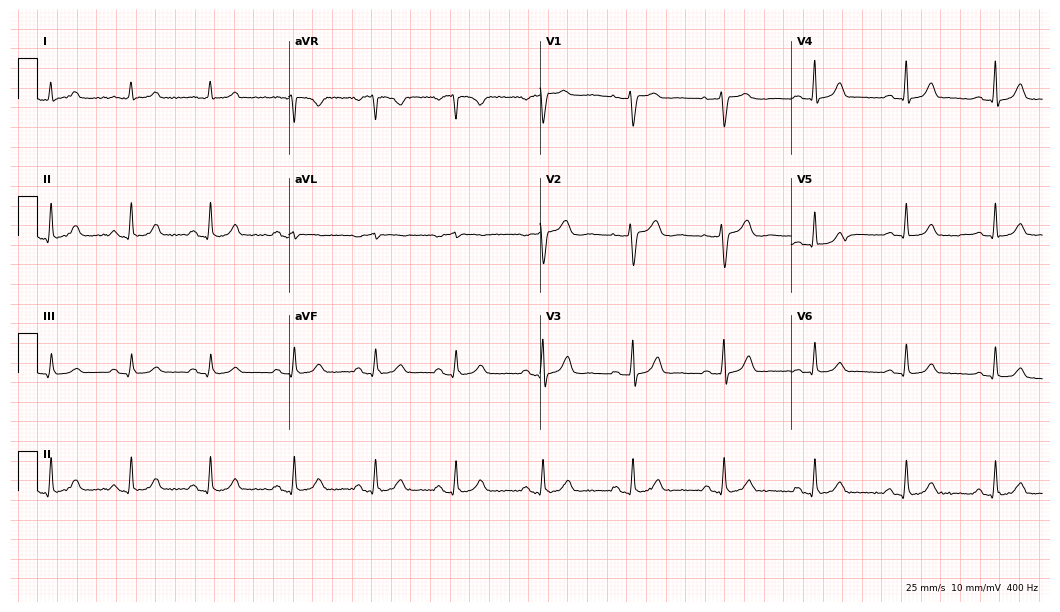
12-lead ECG from a female patient, 51 years old. Labelled as a normal ECG.